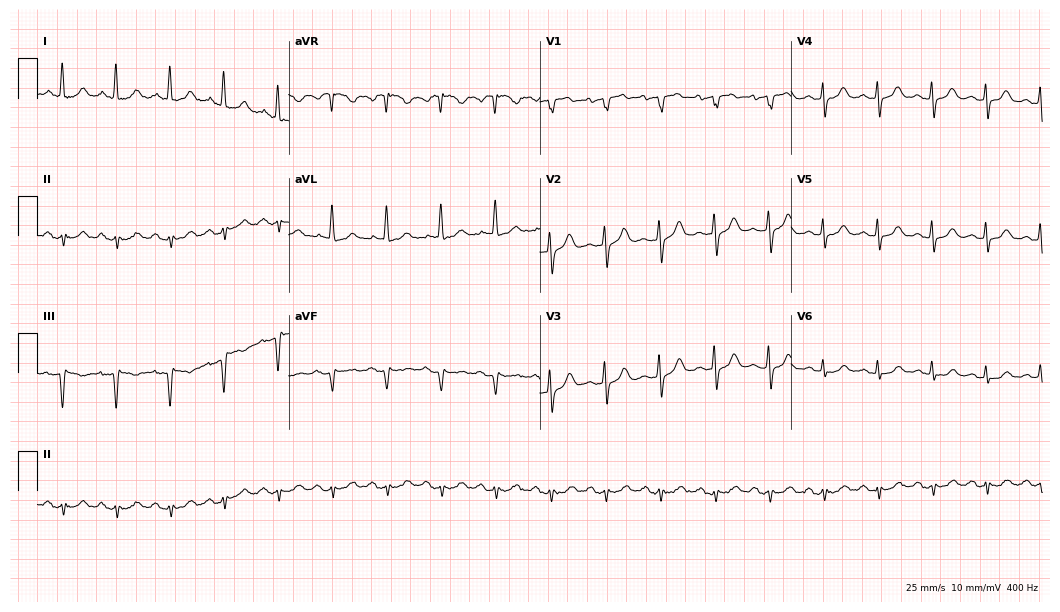
12-lead ECG (10.2-second recording at 400 Hz) from a 77-year-old female patient. Screened for six findings — first-degree AV block, right bundle branch block, left bundle branch block, sinus bradycardia, atrial fibrillation, sinus tachycardia — none is recorded.